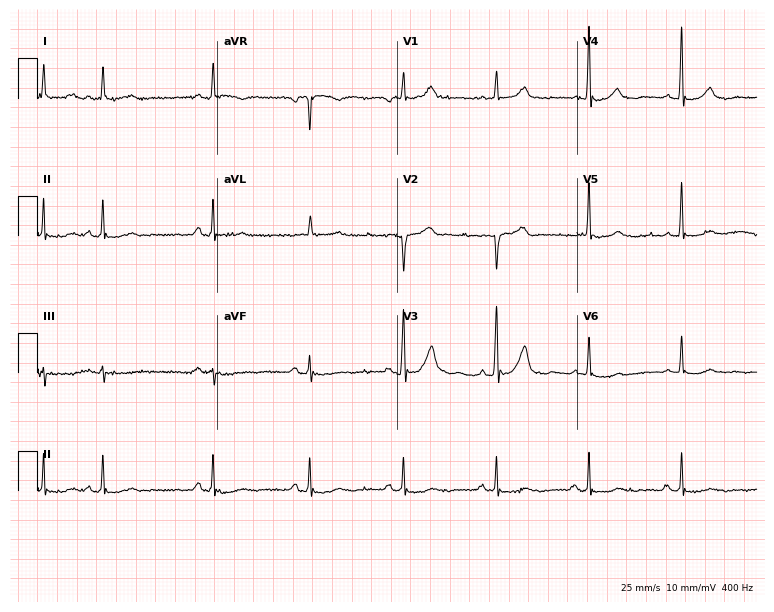
Electrocardiogram (7.3-second recording at 400 Hz), a man, 85 years old. Of the six screened findings (first-degree AV block, right bundle branch block (RBBB), left bundle branch block (LBBB), sinus bradycardia, atrial fibrillation (AF), sinus tachycardia), none is recorded.